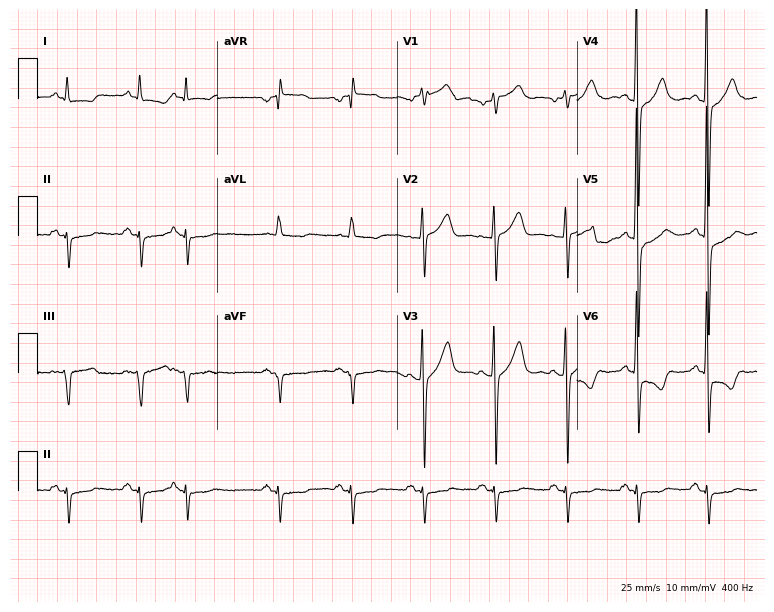
Resting 12-lead electrocardiogram (7.3-second recording at 400 Hz). Patient: a 66-year-old male. None of these six findings is recorded: first-degree AV block, right bundle branch block (RBBB), left bundle branch block (LBBB), sinus bradycardia, atrial fibrillation (AF), sinus tachycardia. Other findings, if any, are not listed.